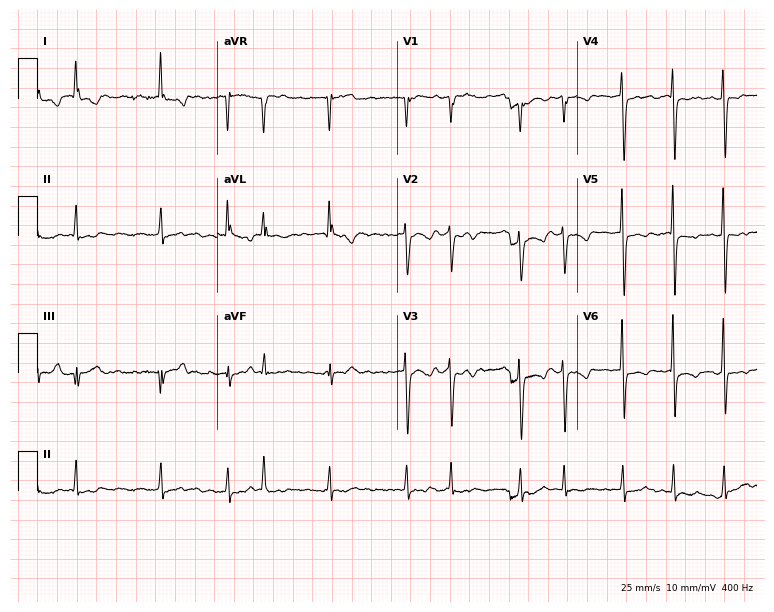
ECG (7.3-second recording at 400 Hz) — a female, 83 years old. Findings include atrial fibrillation.